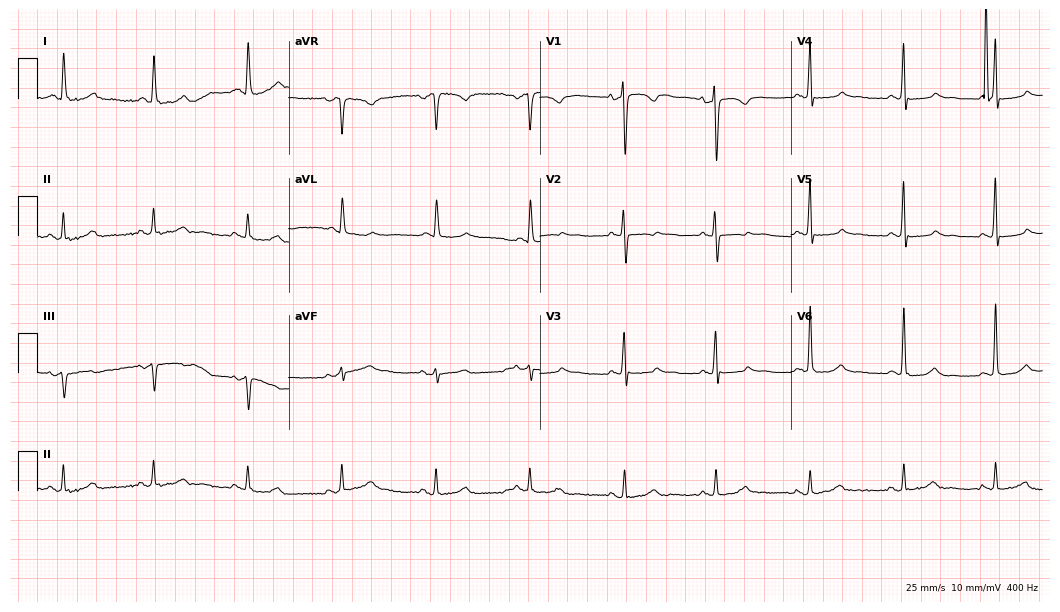
Electrocardiogram (10.2-second recording at 400 Hz), a 57-year-old male. Of the six screened findings (first-degree AV block, right bundle branch block (RBBB), left bundle branch block (LBBB), sinus bradycardia, atrial fibrillation (AF), sinus tachycardia), none is recorded. Only these six findings were labelled.